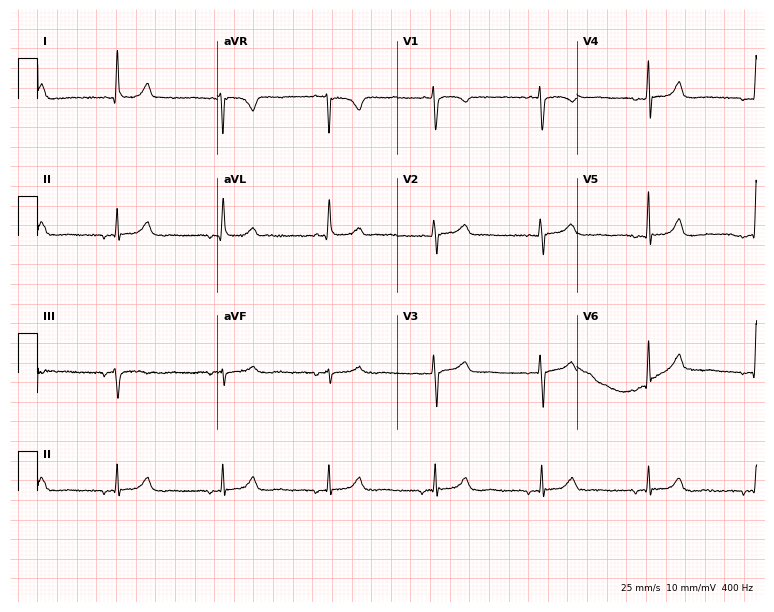
Resting 12-lead electrocardiogram (7.3-second recording at 400 Hz). Patient: a 61-year-old female. Read as a normal ECG.